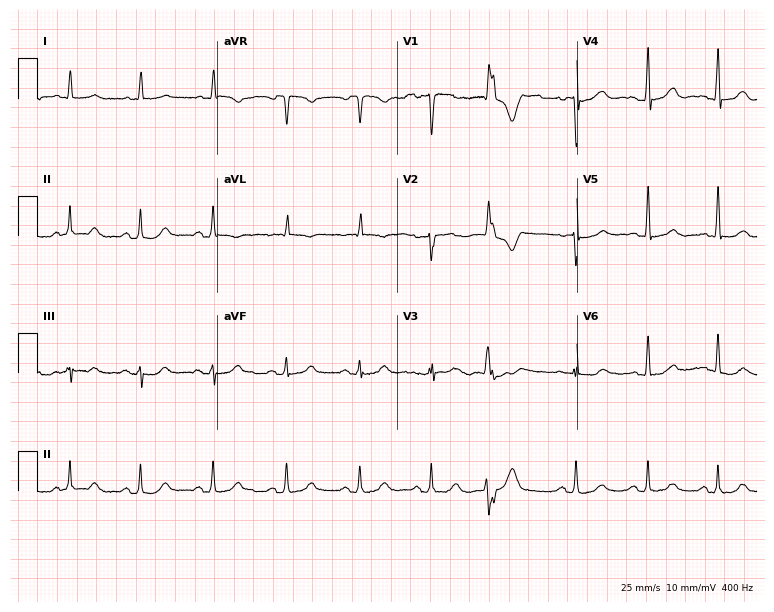
ECG — an 83-year-old female patient. Screened for six findings — first-degree AV block, right bundle branch block (RBBB), left bundle branch block (LBBB), sinus bradycardia, atrial fibrillation (AF), sinus tachycardia — none is recorded.